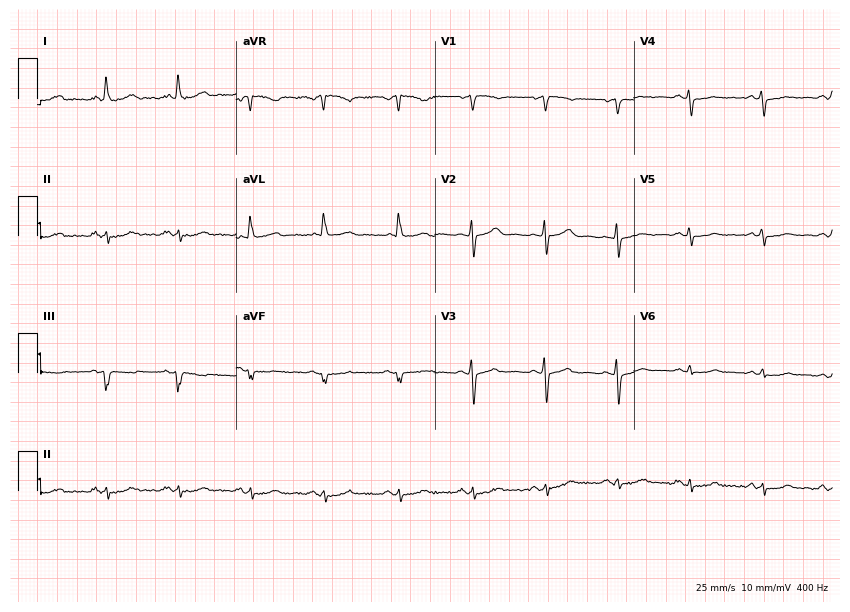
Standard 12-lead ECG recorded from a 61-year-old female patient (8.1-second recording at 400 Hz). None of these six findings is recorded: first-degree AV block, right bundle branch block, left bundle branch block, sinus bradycardia, atrial fibrillation, sinus tachycardia.